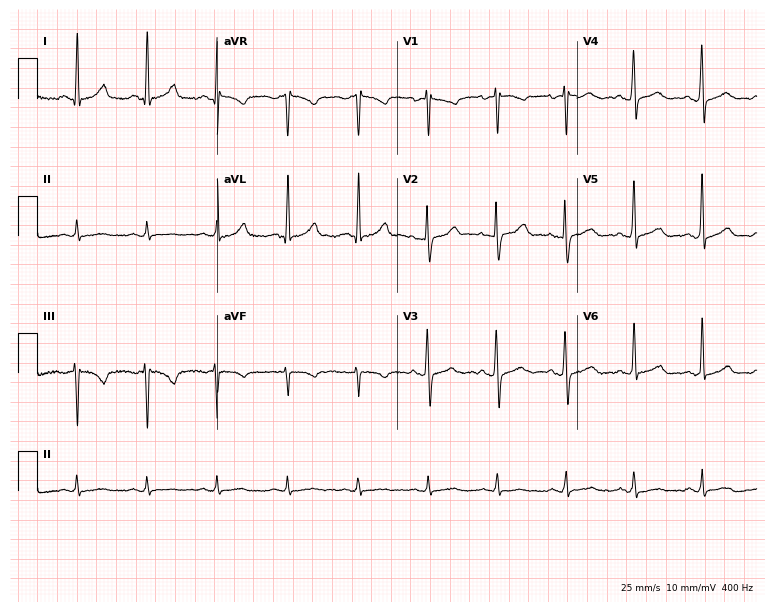
Resting 12-lead electrocardiogram (7.3-second recording at 400 Hz). Patient: a female, 32 years old. None of these six findings is recorded: first-degree AV block, right bundle branch block, left bundle branch block, sinus bradycardia, atrial fibrillation, sinus tachycardia.